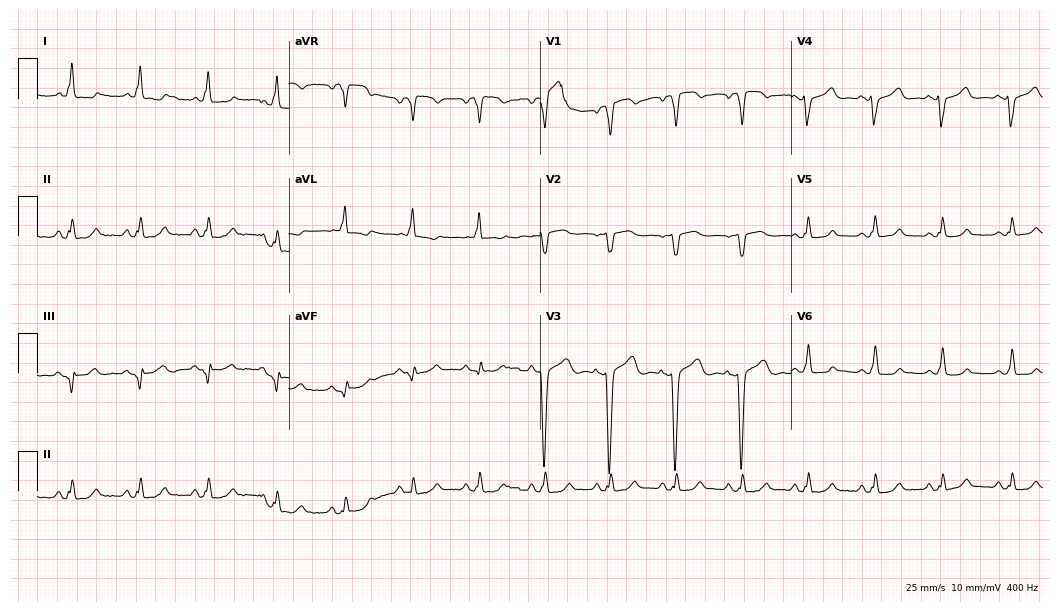
12-lead ECG from a 68-year-old female. No first-degree AV block, right bundle branch block (RBBB), left bundle branch block (LBBB), sinus bradycardia, atrial fibrillation (AF) or sinus tachycardia recorded for this tracing. Other findings, if any, are not listed.